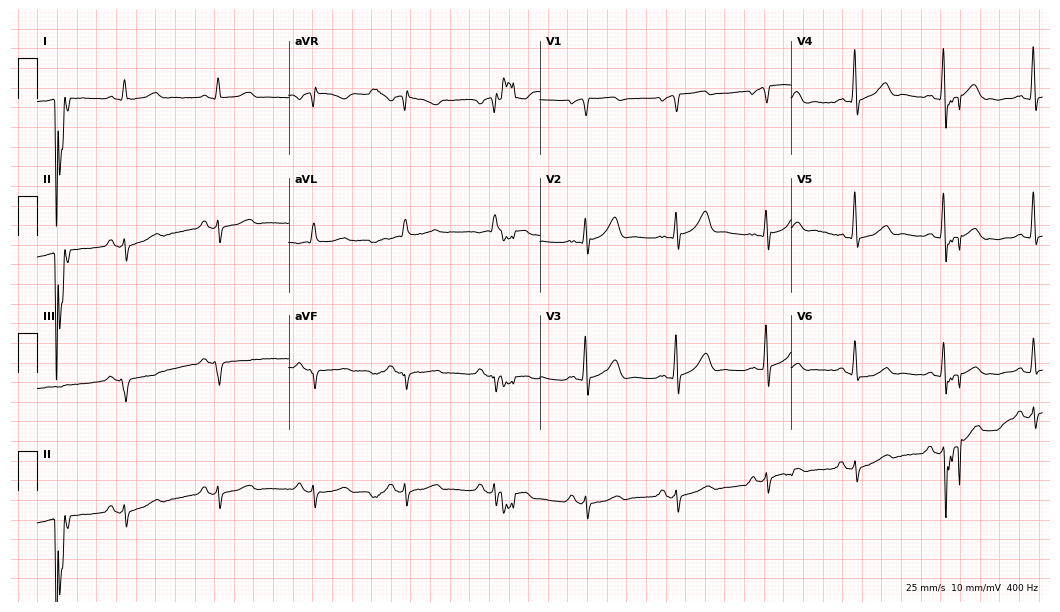
Resting 12-lead electrocardiogram. Patient: a man, 85 years old. None of these six findings is recorded: first-degree AV block, right bundle branch block, left bundle branch block, sinus bradycardia, atrial fibrillation, sinus tachycardia. Other findings, if any, are not listed.